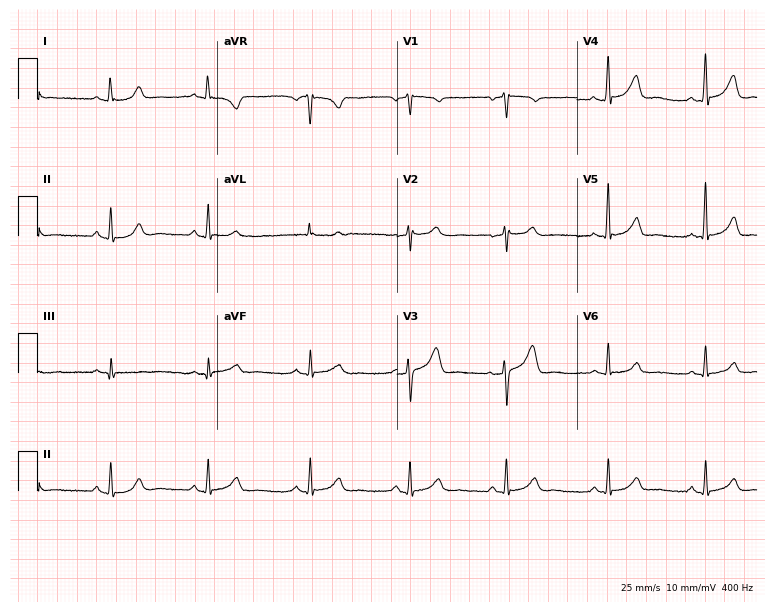
Resting 12-lead electrocardiogram (7.3-second recording at 400 Hz). Patient: a female, 46 years old. Read as a normal ECG.